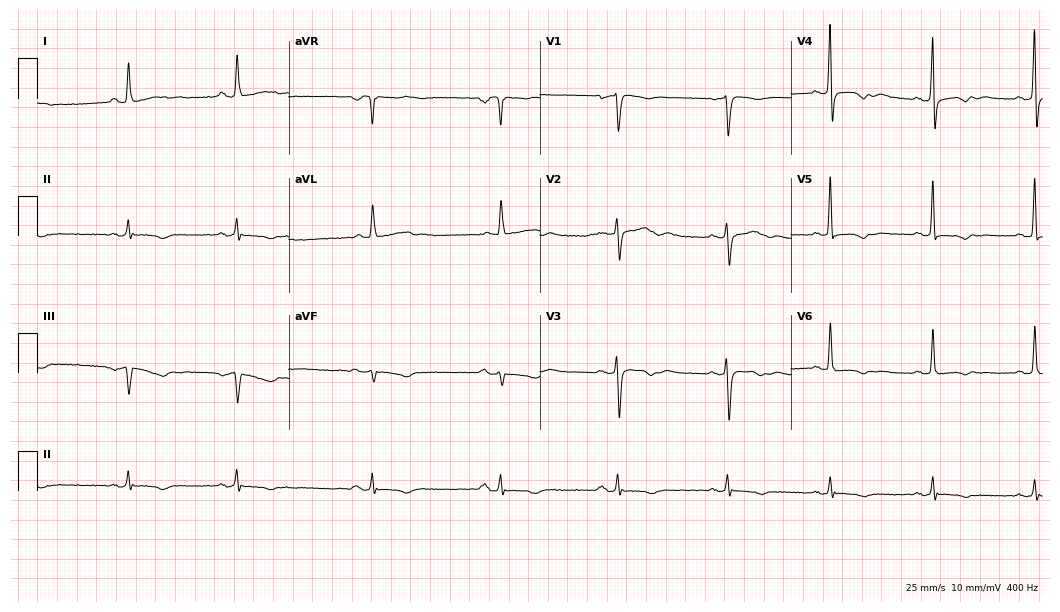
12-lead ECG (10.2-second recording at 400 Hz) from a 64-year-old female patient. Screened for six findings — first-degree AV block, right bundle branch block, left bundle branch block, sinus bradycardia, atrial fibrillation, sinus tachycardia — none is recorded. Other findings, if any, are not listed.